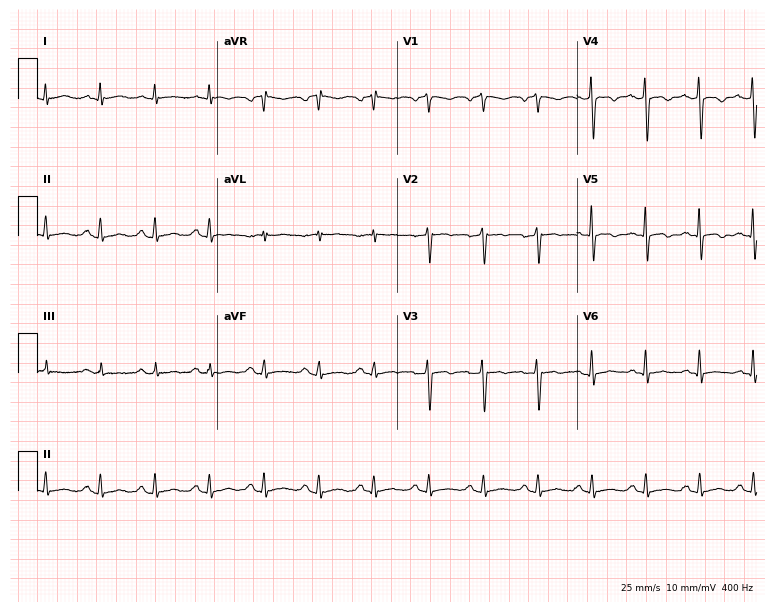
12-lead ECG (7.3-second recording at 400 Hz) from a man, 52 years old. Findings include sinus tachycardia (a sinus rate of 100 beats per minute or more).